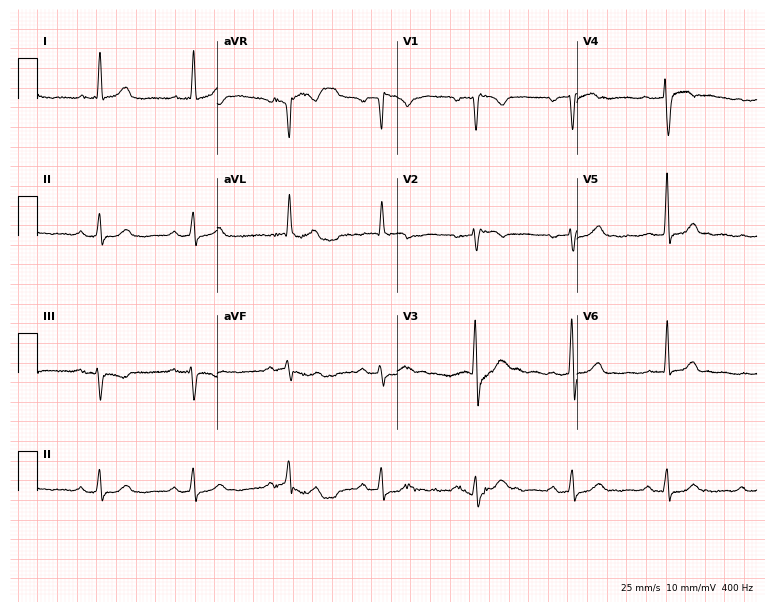
12-lead ECG from a woman, 83 years old. No first-degree AV block, right bundle branch block, left bundle branch block, sinus bradycardia, atrial fibrillation or sinus tachycardia recorded for this tracing. Other findings, if any, are not listed.